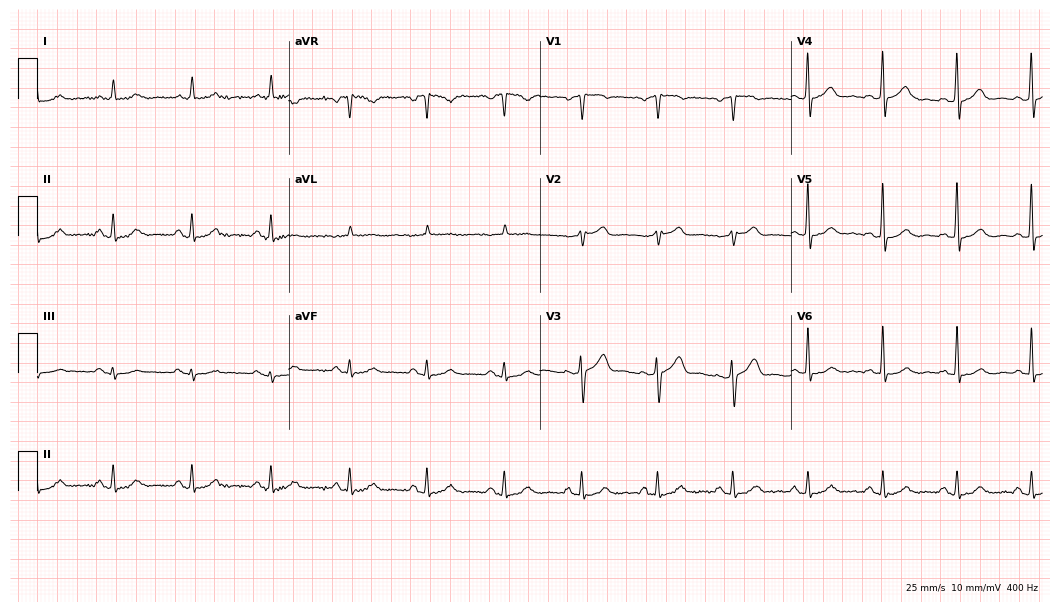
12-lead ECG from a female, 39 years old (10.2-second recording at 400 Hz). Recorded interpretation: within normal limits.